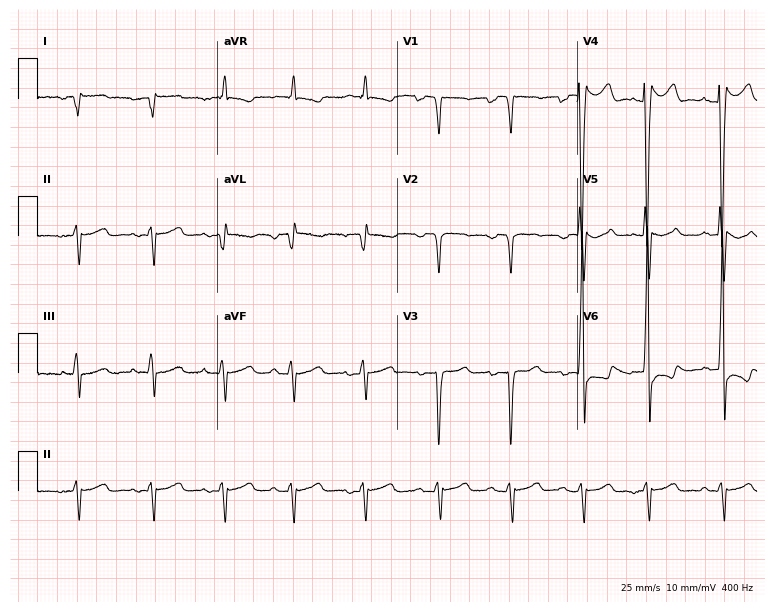
12-lead ECG from a male patient, 70 years old (7.3-second recording at 400 Hz). No first-degree AV block, right bundle branch block, left bundle branch block, sinus bradycardia, atrial fibrillation or sinus tachycardia recorded for this tracing.